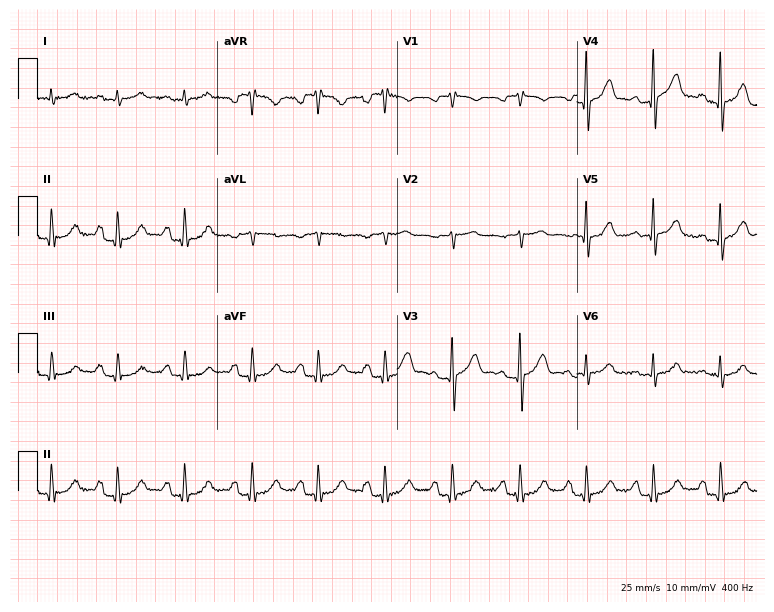
Standard 12-lead ECG recorded from an 83-year-old man (7.3-second recording at 400 Hz). Read as a normal ECG.